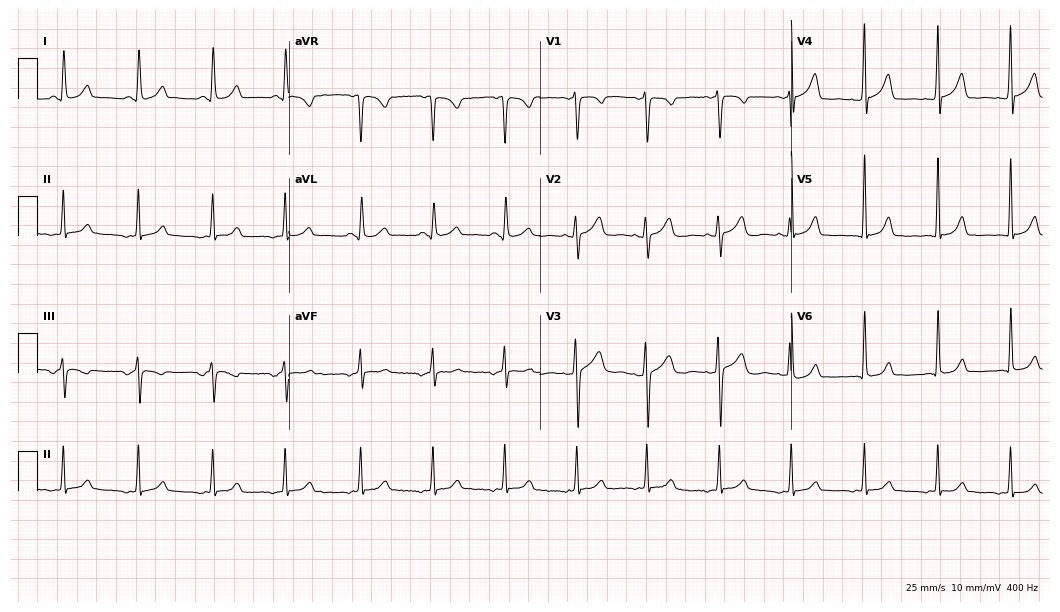
Resting 12-lead electrocardiogram (10.2-second recording at 400 Hz). Patient: a female, 39 years old. Read as a normal ECG.